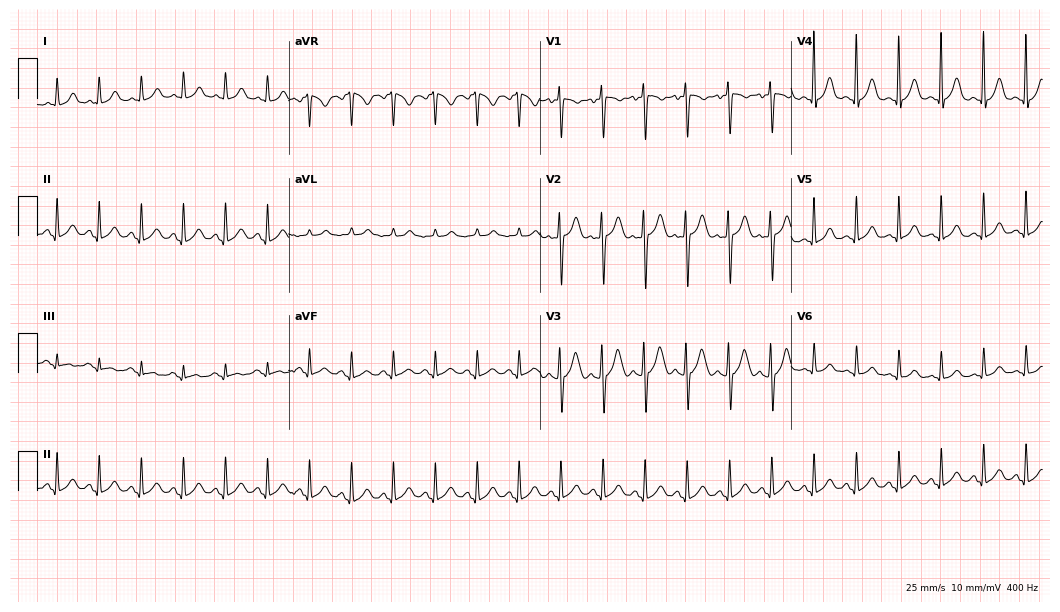
12-lead ECG from a 19-year-old woman. Shows sinus tachycardia (a sinus rate of 100 beats per minute or more).